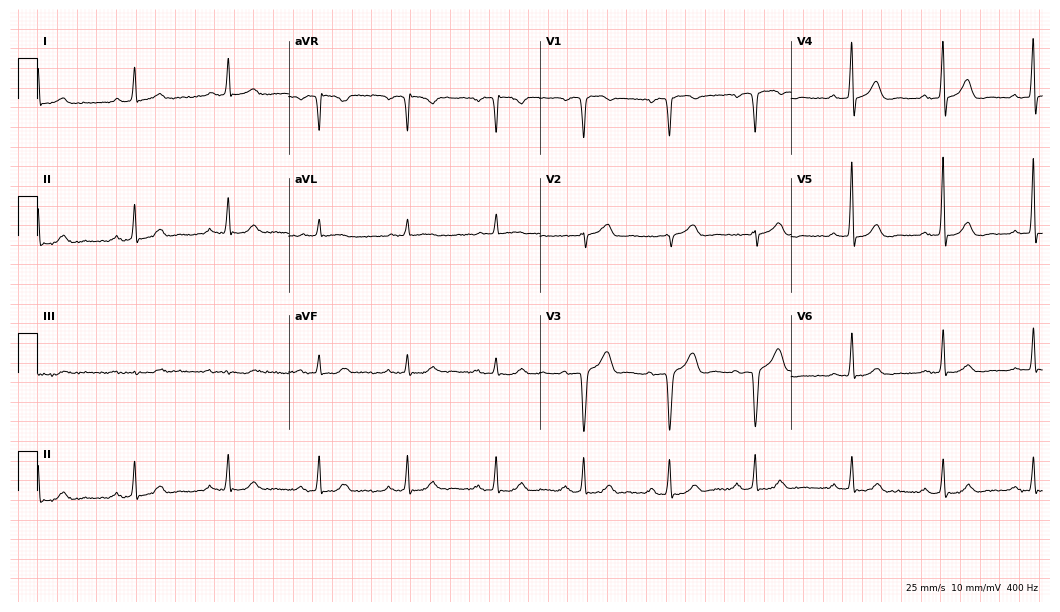
Resting 12-lead electrocardiogram. Patient: a 69-year-old male. None of these six findings is recorded: first-degree AV block, right bundle branch block, left bundle branch block, sinus bradycardia, atrial fibrillation, sinus tachycardia.